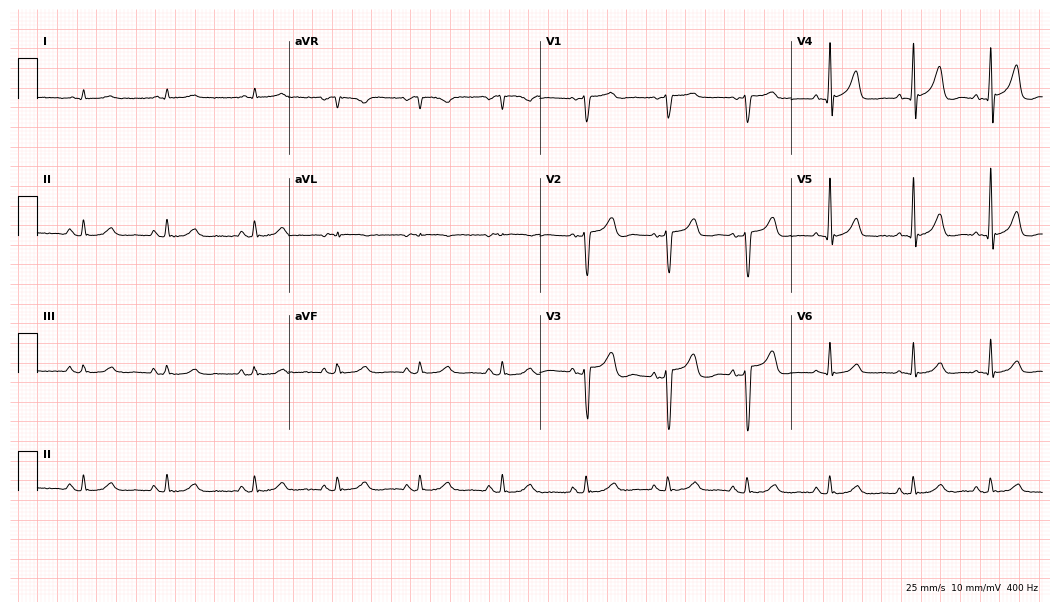
12-lead ECG (10.2-second recording at 400 Hz) from a 60-year-old male patient. Labelled as a normal ECG.